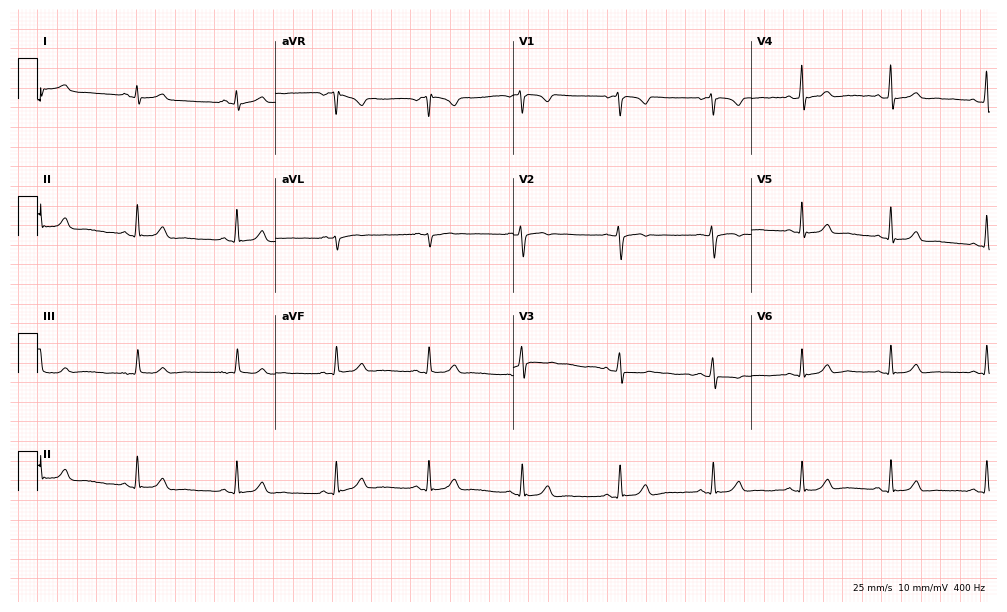
Resting 12-lead electrocardiogram. Patient: a 39-year-old female. Read as a normal ECG.